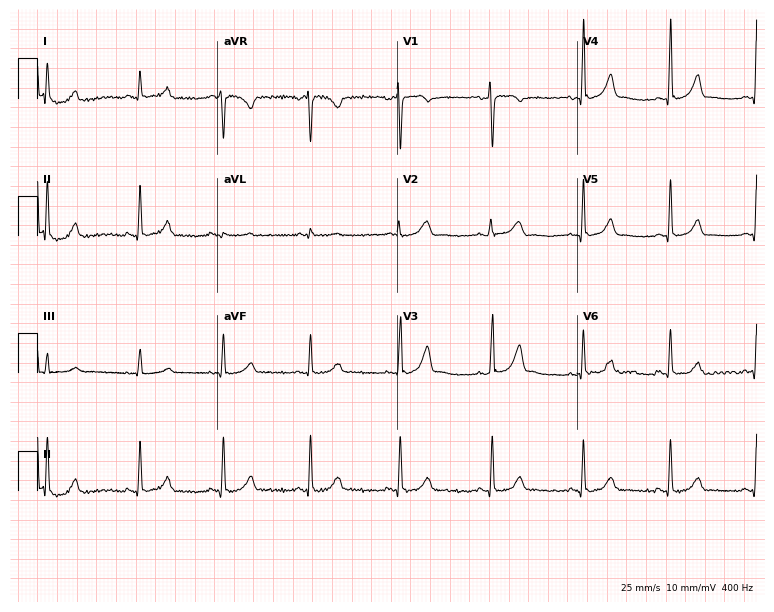
12-lead ECG (7.3-second recording at 400 Hz) from a female, 38 years old. Labelled as a normal ECG.